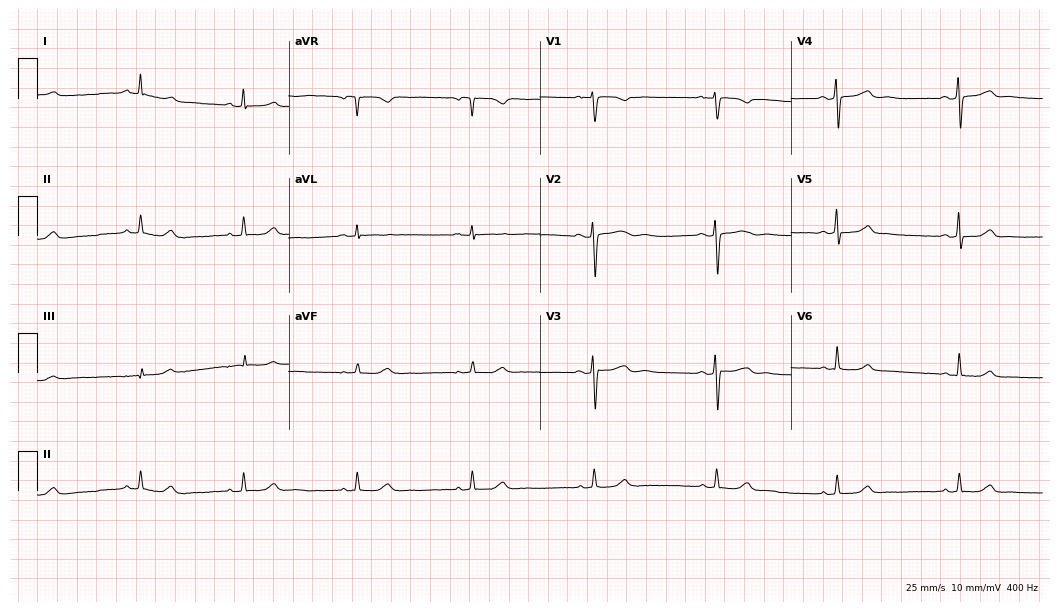
12-lead ECG from a 30-year-old woman. Findings include sinus bradycardia (a sinus rate of 50 beats per minute or less).